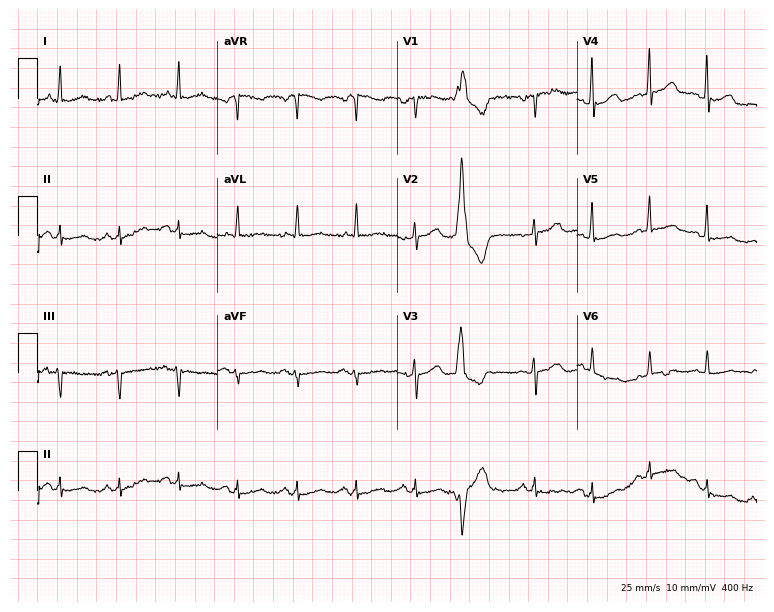
Resting 12-lead electrocardiogram. Patient: a 50-year-old female. None of these six findings is recorded: first-degree AV block, right bundle branch block, left bundle branch block, sinus bradycardia, atrial fibrillation, sinus tachycardia.